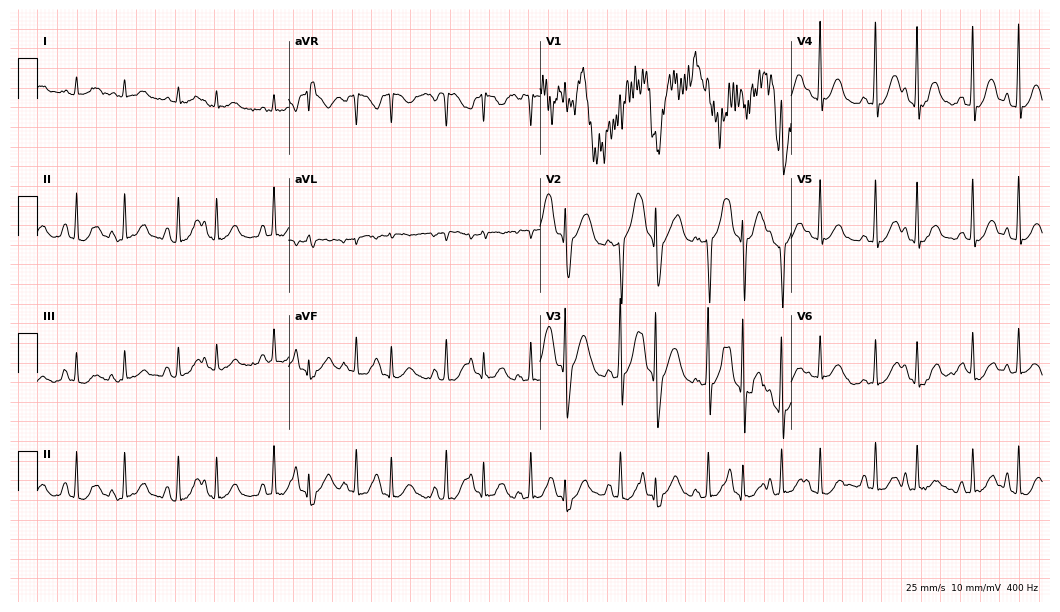
ECG — a male, 71 years old. Screened for six findings — first-degree AV block, right bundle branch block (RBBB), left bundle branch block (LBBB), sinus bradycardia, atrial fibrillation (AF), sinus tachycardia — none is recorded.